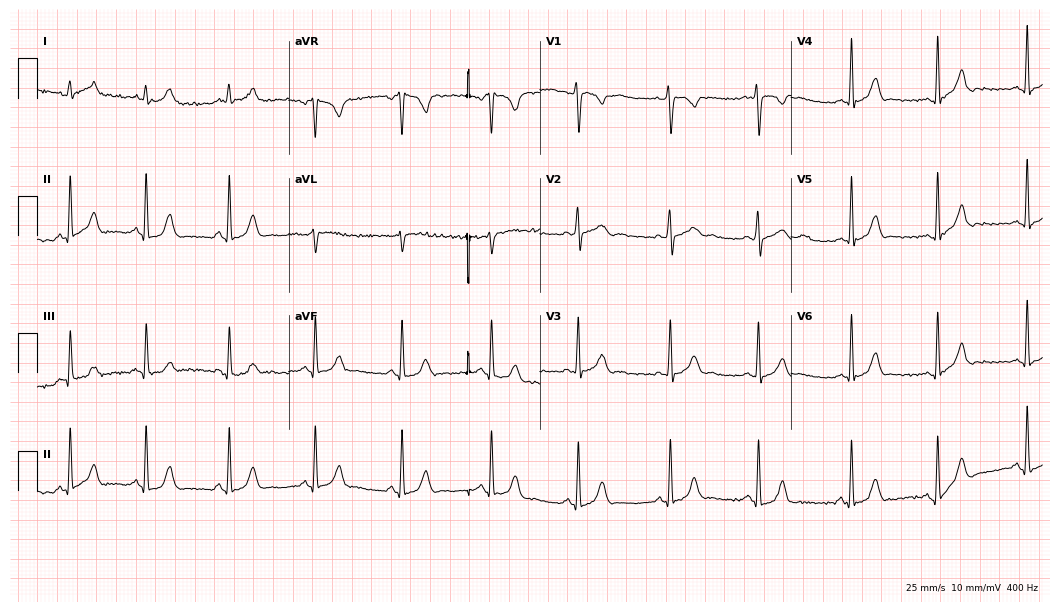
ECG — a 29-year-old female. Labelled as a normal ECG.